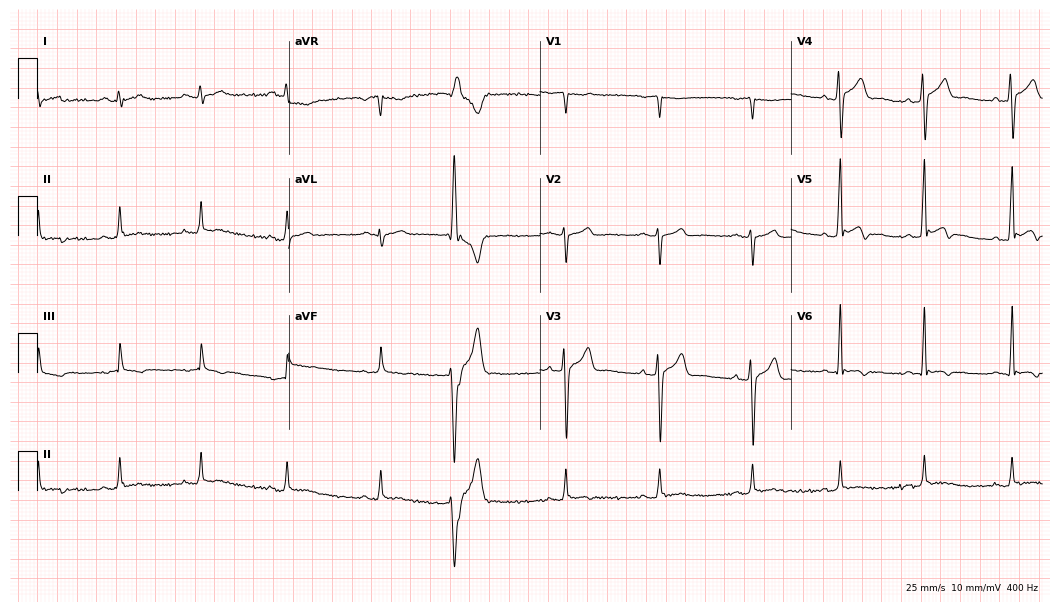
12-lead ECG (10.2-second recording at 400 Hz) from a 27-year-old male patient. Screened for six findings — first-degree AV block, right bundle branch block (RBBB), left bundle branch block (LBBB), sinus bradycardia, atrial fibrillation (AF), sinus tachycardia — none is recorded.